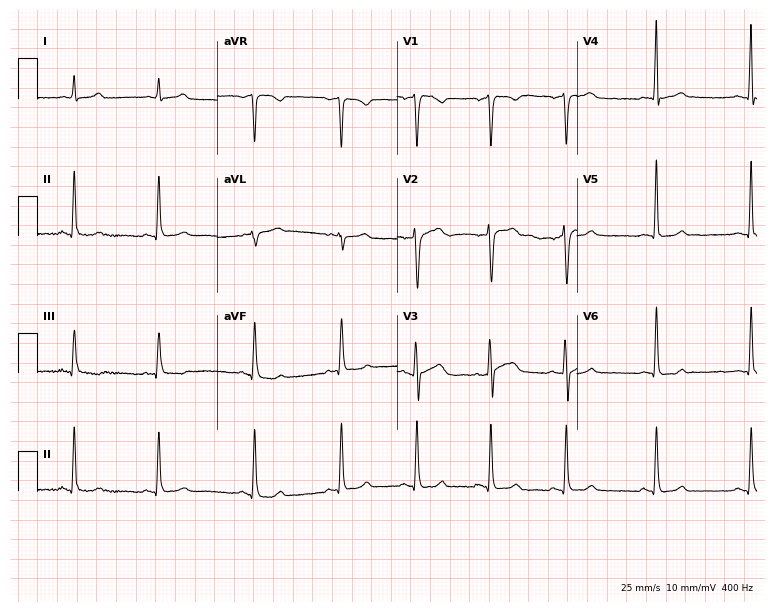
12-lead ECG (7.3-second recording at 400 Hz) from a 47-year-old male patient. Labelled as a normal ECG.